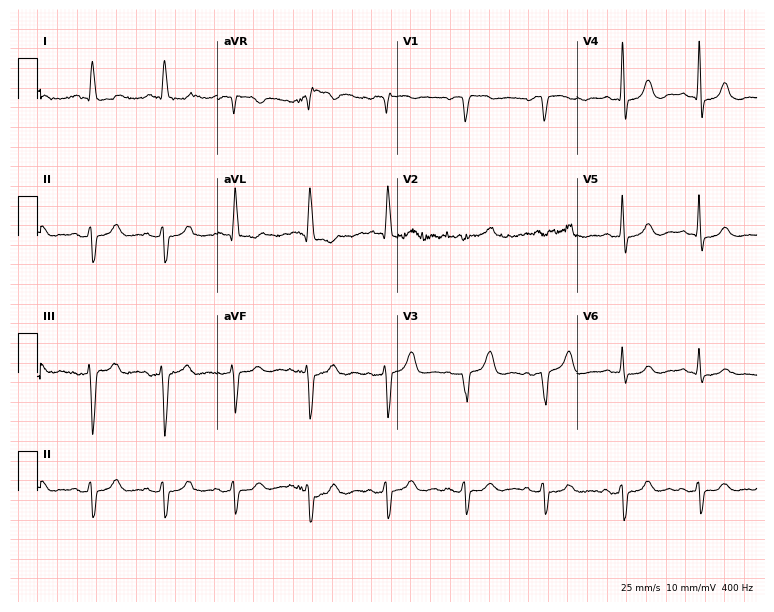
12-lead ECG from a female patient, 83 years old. Screened for six findings — first-degree AV block, right bundle branch block, left bundle branch block, sinus bradycardia, atrial fibrillation, sinus tachycardia — none is recorded. Findings outside these six are not listed.